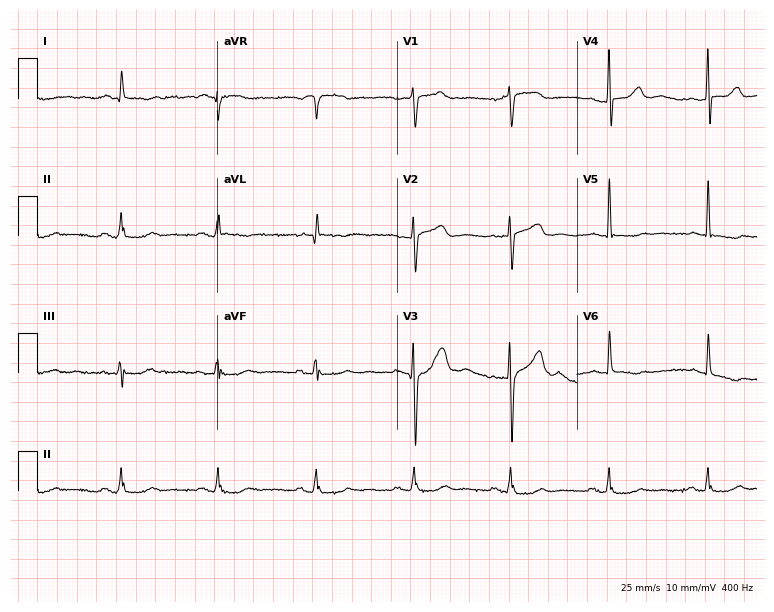
Electrocardiogram (7.3-second recording at 400 Hz), a 77-year-old male patient. Of the six screened findings (first-degree AV block, right bundle branch block (RBBB), left bundle branch block (LBBB), sinus bradycardia, atrial fibrillation (AF), sinus tachycardia), none is recorded. Findings outside these six are not listed.